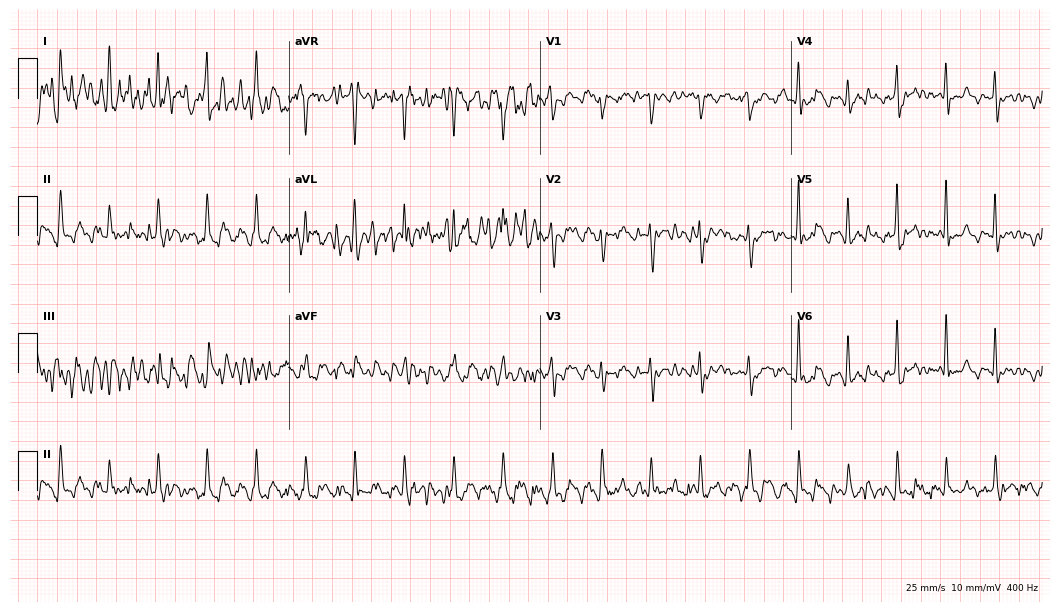
12-lead ECG from a male patient, 60 years old. No first-degree AV block, right bundle branch block (RBBB), left bundle branch block (LBBB), sinus bradycardia, atrial fibrillation (AF) or sinus tachycardia recorded for this tracing.